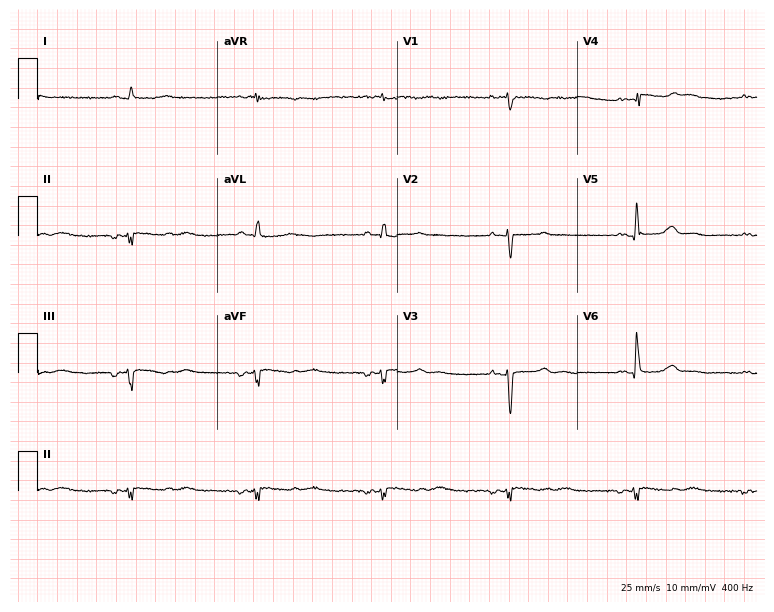
Standard 12-lead ECG recorded from a 54-year-old female. None of these six findings is recorded: first-degree AV block, right bundle branch block, left bundle branch block, sinus bradycardia, atrial fibrillation, sinus tachycardia. Only these six findings were labelled.